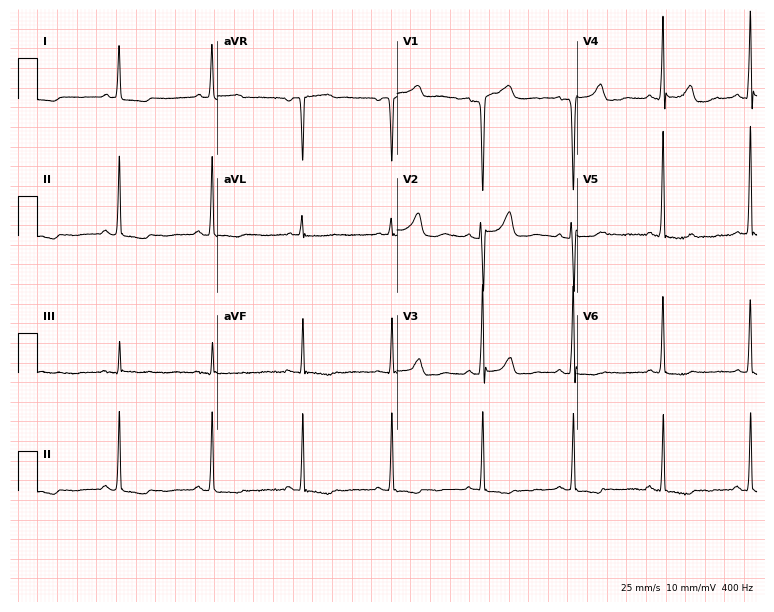
Electrocardiogram, a 55-year-old woman. Of the six screened findings (first-degree AV block, right bundle branch block, left bundle branch block, sinus bradycardia, atrial fibrillation, sinus tachycardia), none is recorded.